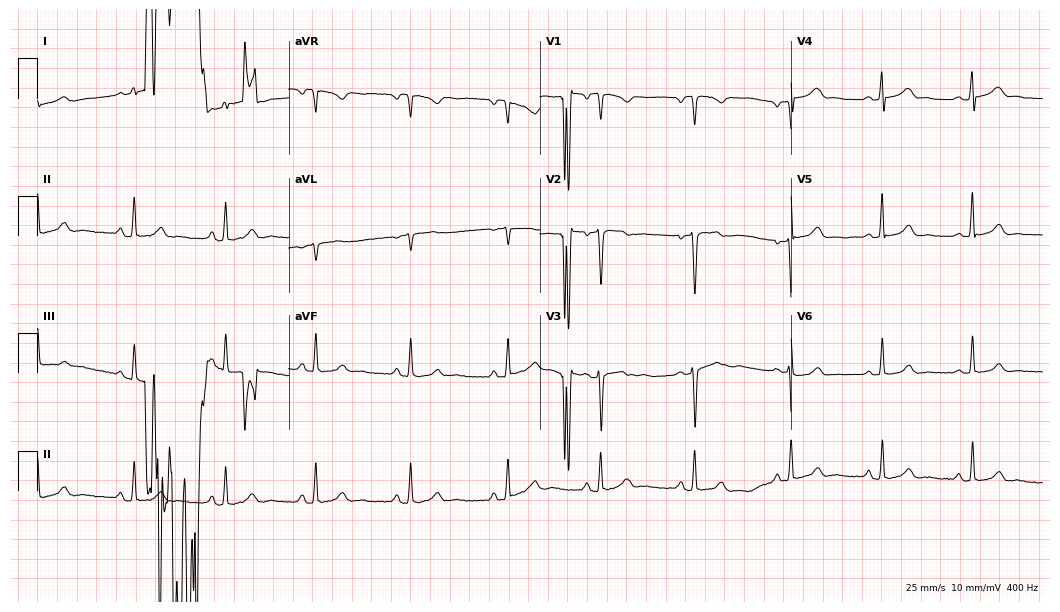
12-lead ECG from a female, 31 years old. No first-degree AV block, right bundle branch block, left bundle branch block, sinus bradycardia, atrial fibrillation or sinus tachycardia recorded for this tracing. Other findings, if any, are not listed.